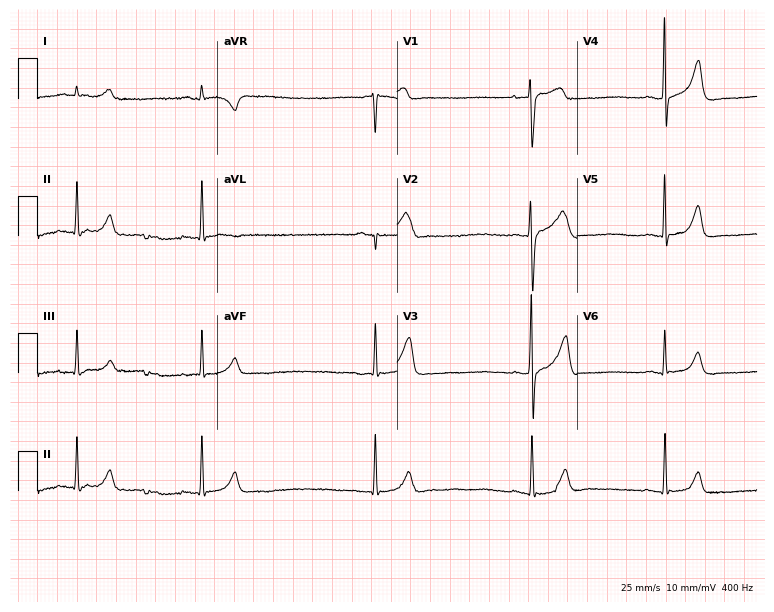
Resting 12-lead electrocardiogram. Patient: a male, 36 years old. None of these six findings is recorded: first-degree AV block, right bundle branch block (RBBB), left bundle branch block (LBBB), sinus bradycardia, atrial fibrillation (AF), sinus tachycardia. Only these six findings were labelled.